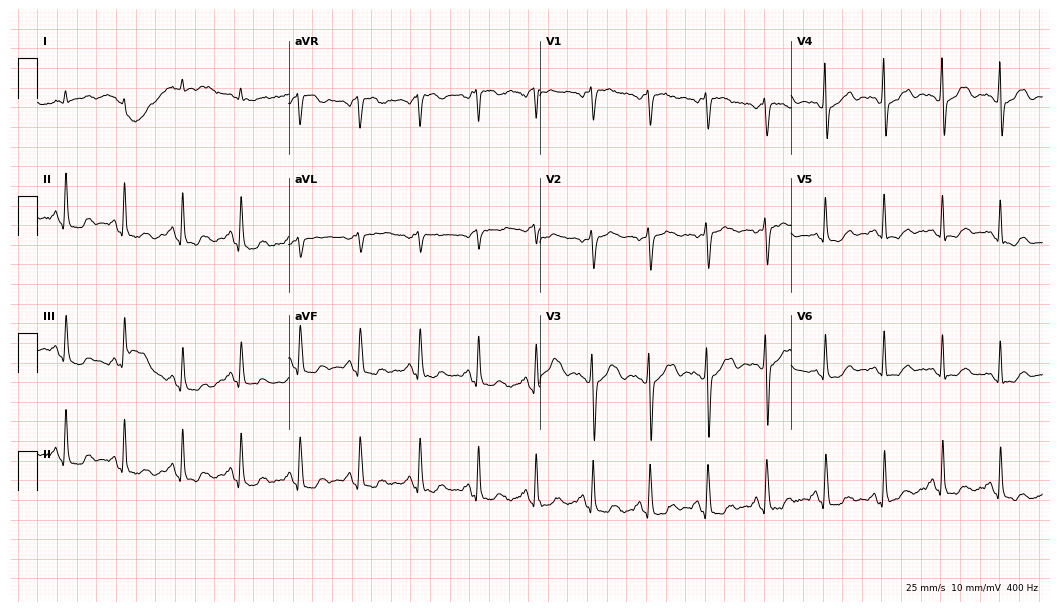
12-lead ECG (10.2-second recording at 400 Hz) from a 71-year-old female. Findings include sinus tachycardia (a sinus rate of 100 beats per minute or more).